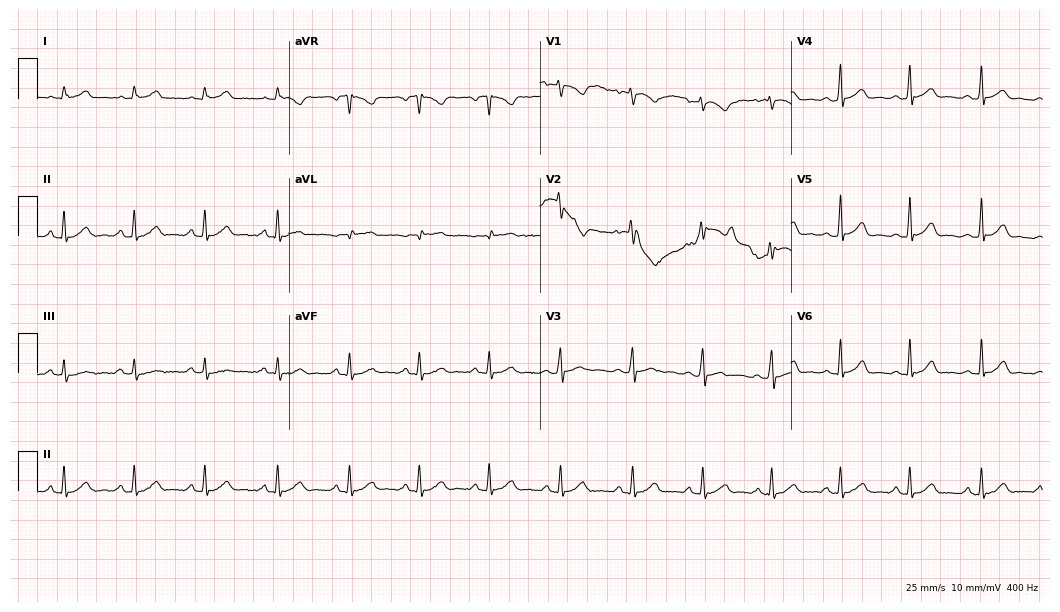
Standard 12-lead ECG recorded from a woman, 29 years old (10.2-second recording at 400 Hz). Read as a normal ECG.